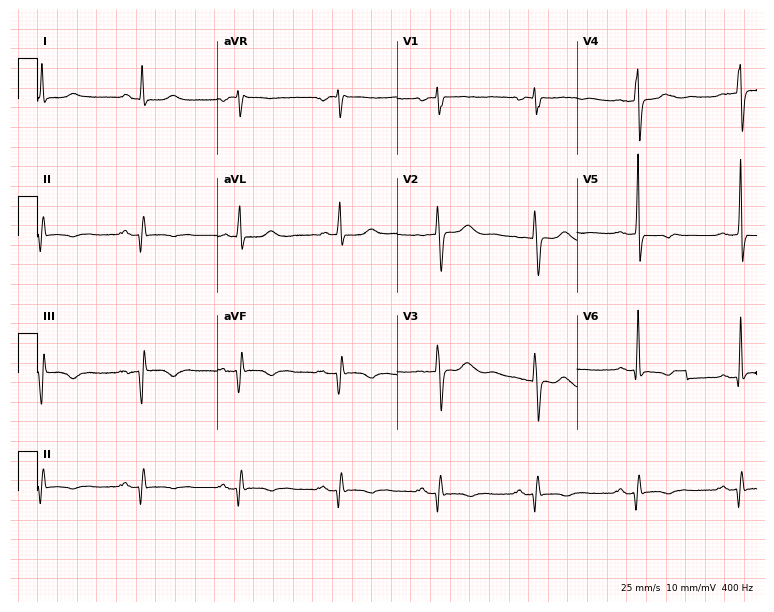
12-lead ECG from a woman, 53 years old (7.3-second recording at 400 Hz). No first-degree AV block, right bundle branch block (RBBB), left bundle branch block (LBBB), sinus bradycardia, atrial fibrillation (AF) or sinus tachycardia recorded for this tracing.